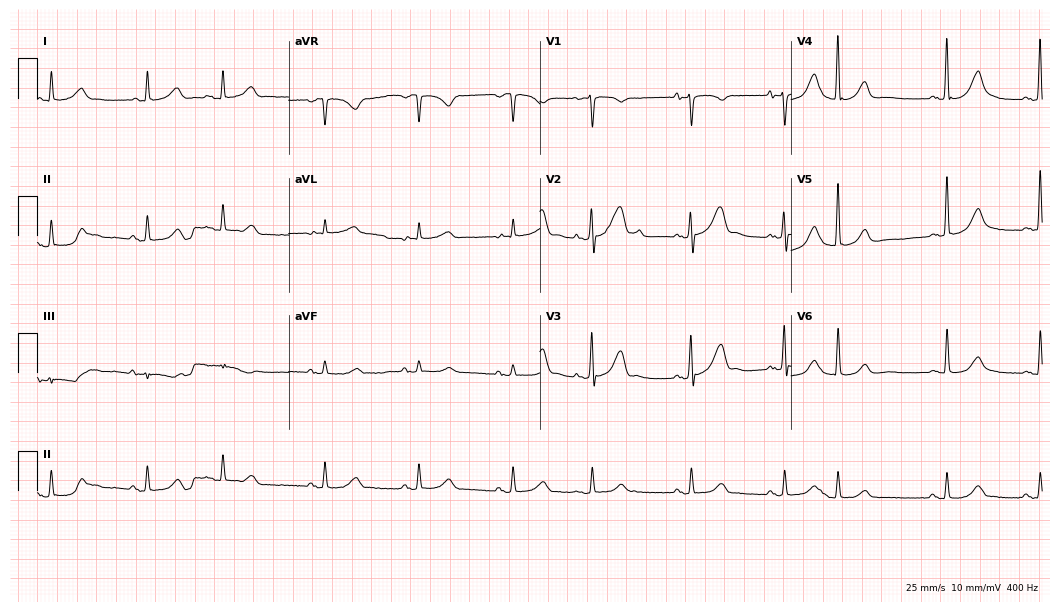
Electrocardiogram (10.2-second recording at 400 Hz), a 56-year-old male patient. Of the six screened findings (first-degree AV block, right bundle branch block, left bundle branch block, sinus bradycardia, atrial fibrillation, sinus tachycardia), none is recorded.